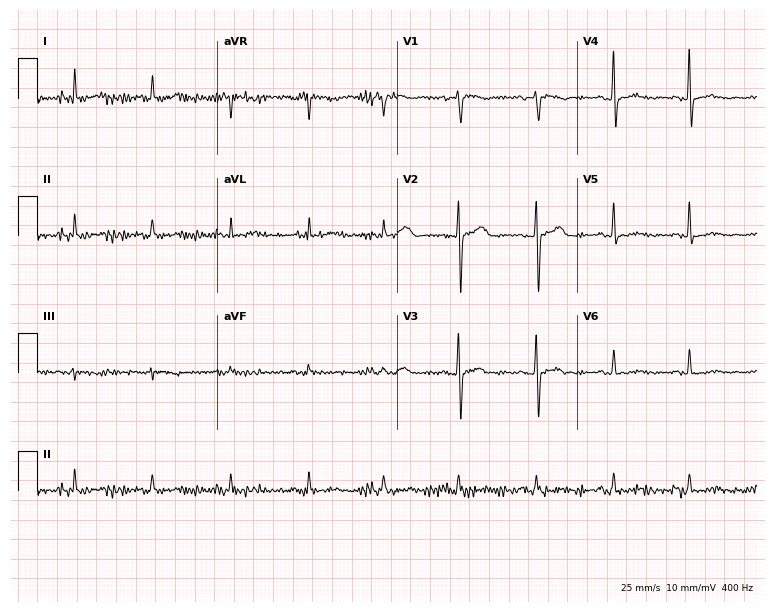
ECG — a female, 47 years old. Screened for six findings — first-degree AV block, right bundle branch block, left bundle branch block, sinus bradycardia, atrial fibrillation, sinus tachycardia — none is recorded.